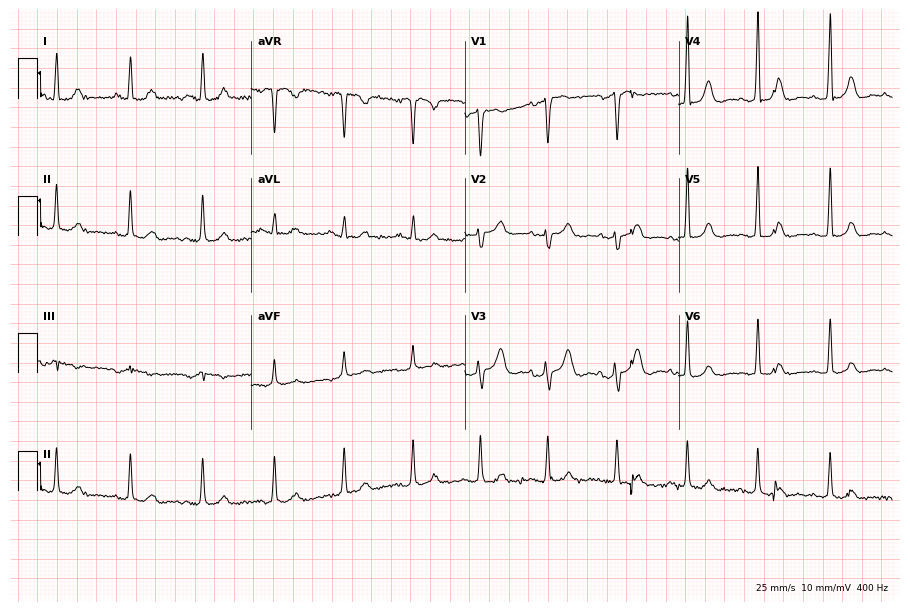
Standard 12-lead ECG recorded from a female, 50 years old. Read as a normal ECG.